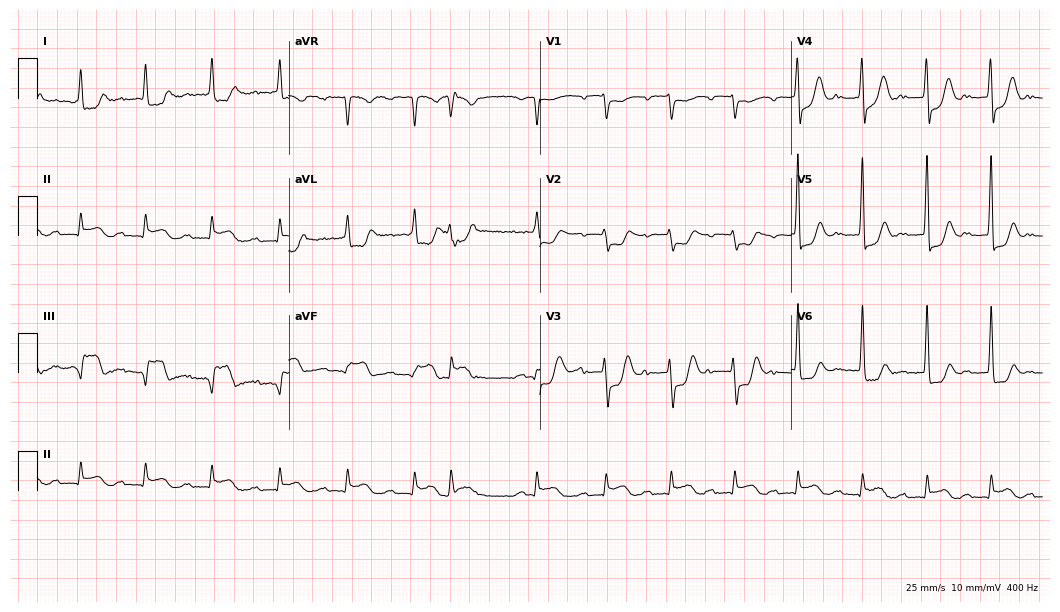
Standard 12-lead ECG recorded from an 84-year-old male (10.2-second recording at 400 Hz). The tracing shows first-degree AV block.